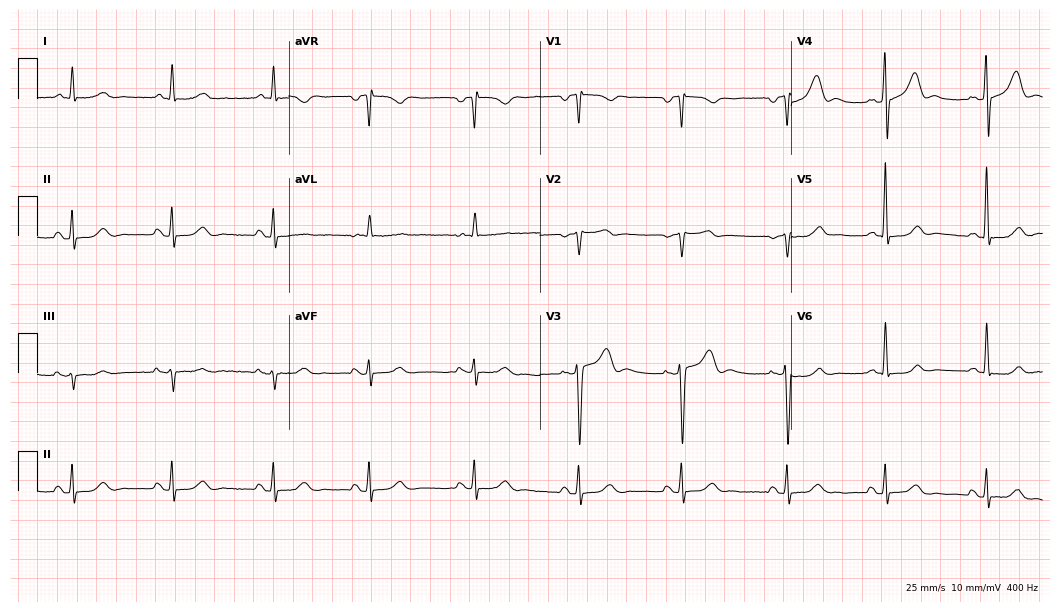
Standard 12-lead ECG recorded from a woman, 44 years old (10.2-second recording at 400 Hz). None of these six findings is recorded: first-degree AV block, right bundle branch block, left bundle branch block, sinus bradycardia, atrial fibrillation, sinus tachycardia.